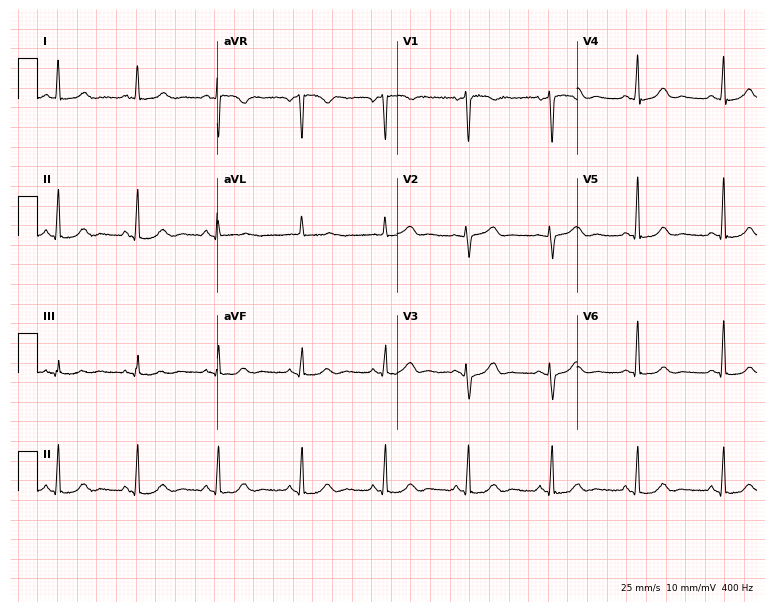
Standard 12-lead ECG recorded from a woman, 59 years old (7.3-second recording at 400 Hz). None of these six findings is recorded: first-degree AV block, right bundle branch block (RBBB), left bundle branch block (LBBB), sinus bradycardia, atrial fibrillation (AF), sinus tachycardia. Findings outside these six are not listed.